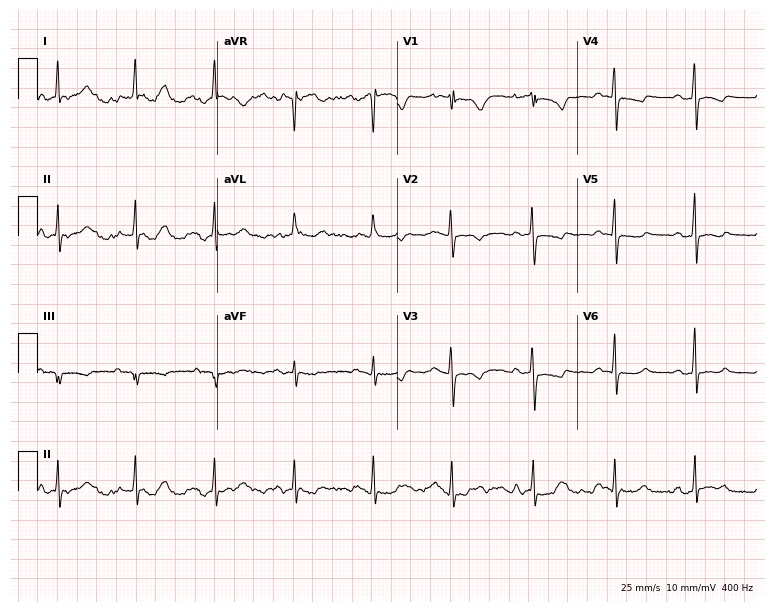
Resting 12-lead electrocardiogram (7.3-second recording at 400 Hz). Patient: a 69-year-old female. None of these six findings is recorded: first-degree AV block, right bundle branch block, left bundle branch block, sinus bradycardia, atrial fibrillation, sinus tachycardia.